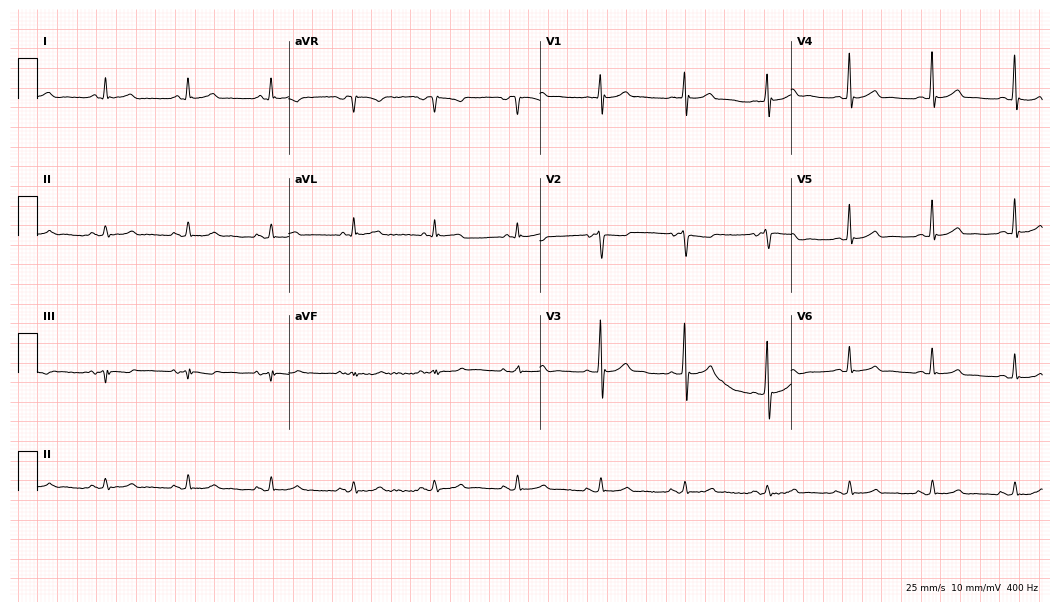
ECG — a 55-year-old male. Screened for six findings — first-degree AV block, right bundle branch block, left bundle branch block, sinus bradycardia, atrial fibrillation, sinus tachycardia — none is recorded.